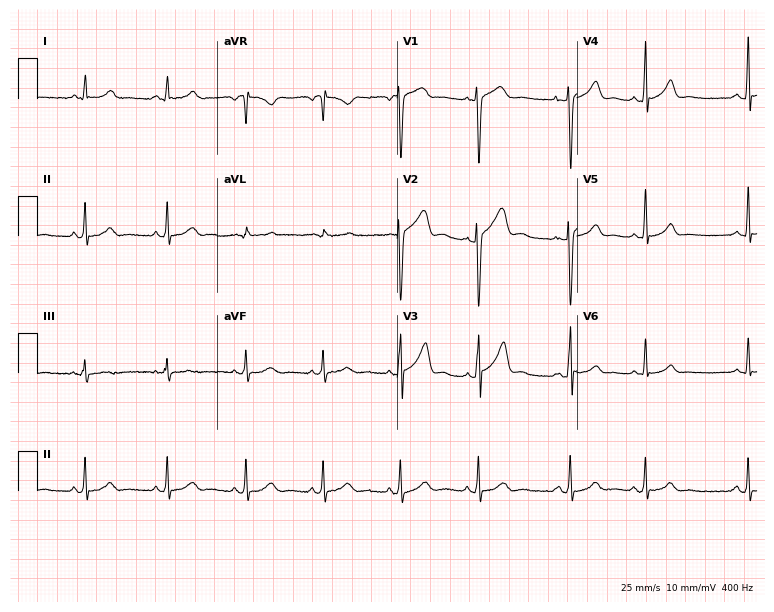
12-lead ECG from a man, 29 years old. Labelled as a normal ECG.